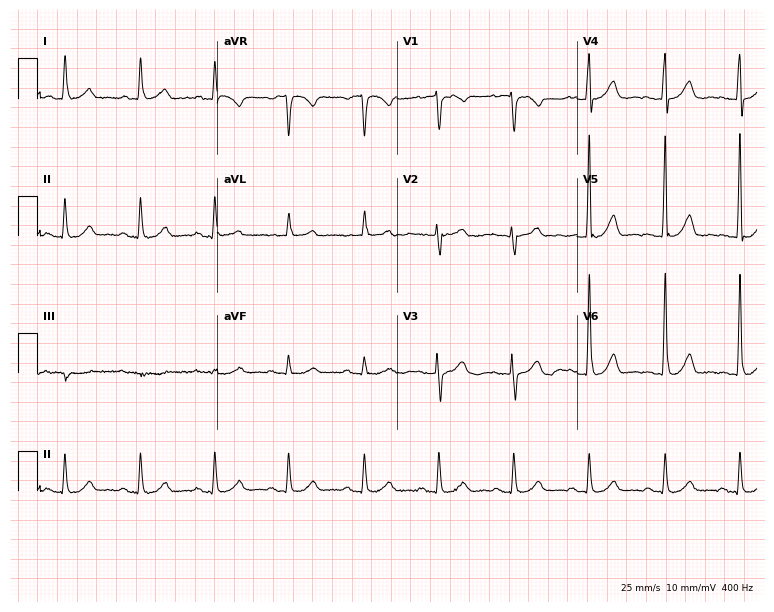
Electrocardiogram, a 79-year-old female patient. Overall reading on record: normal ECG.